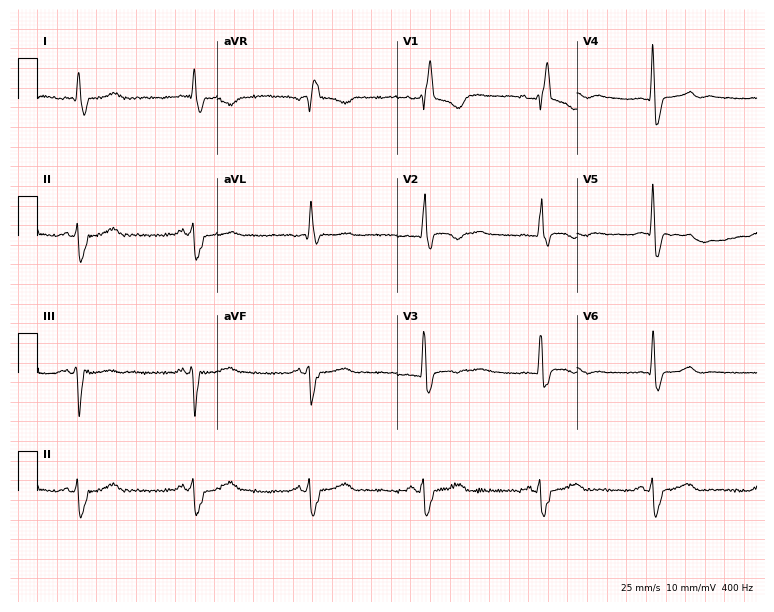
Resting 12-lead electrocardiogram. Patient: a male, 70 years old. The tracing shows right bundle branch block.